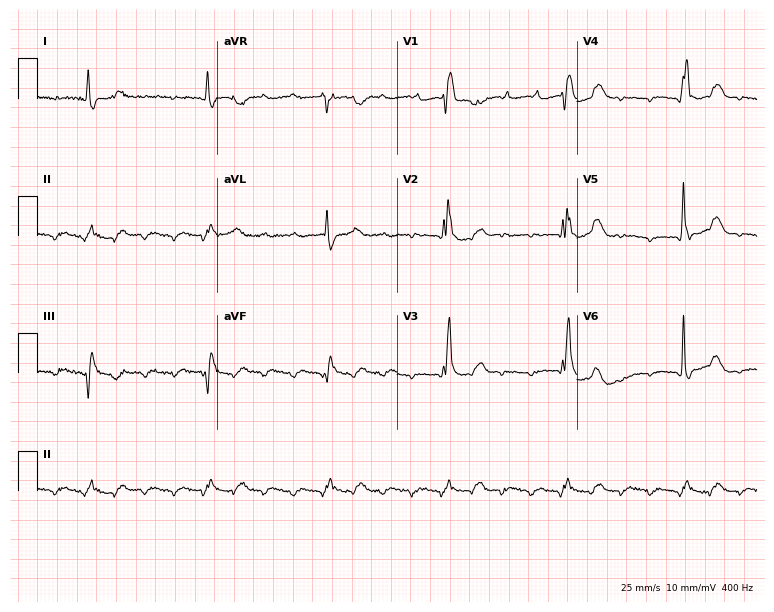
12-lead ECG from a male patient, 82 years old. Shows right bundle branch block.